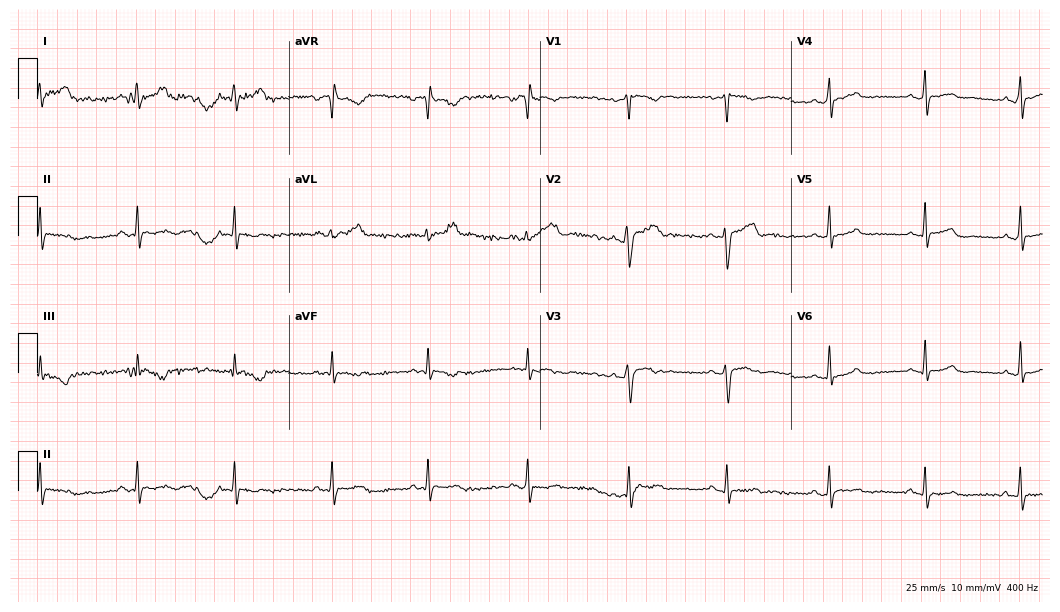
12-lead ECG from a woman, 25 years old. Screened for six findings — first-degree AV block, right bundle branch block, left bundle branch block, sinus bradycardia, atrial fibrillation, sinus tachycardia — none is recorded. Findings outside these six are not listed.